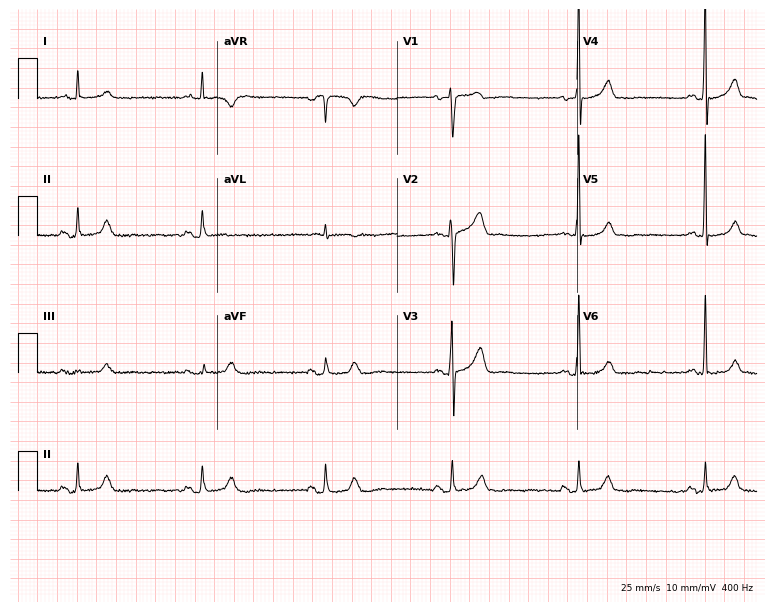
12-lead ECG from a man, 81 years old. Findings include sinus bradycardia (a sinus rate of 50 beats per minute or less).